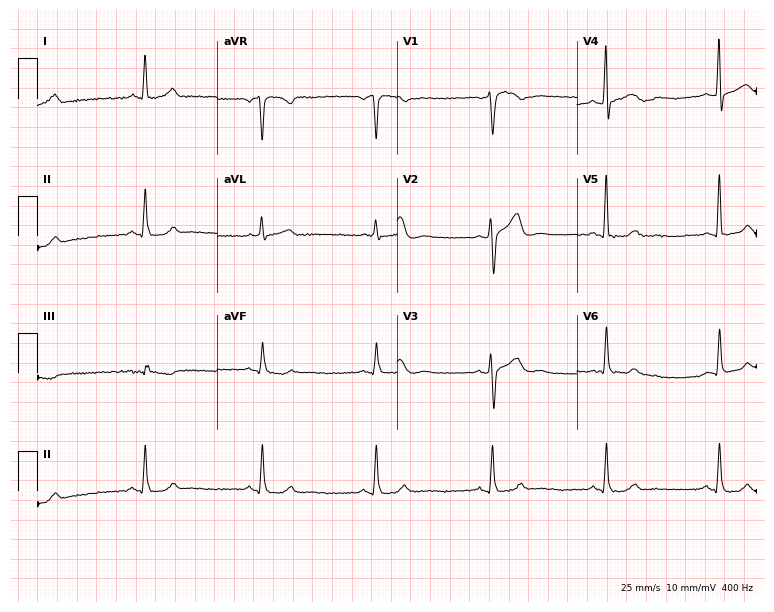
Resting 12-lead electrocardiogram. Patient: a male, 53 years old. None of these six findings is recorded: first-degree AV block, right bundle branch block (RBBB), left bundle branch block (LBBB), sinus bradycardia, atrial fibrillation (AF), sinus tachycardia.